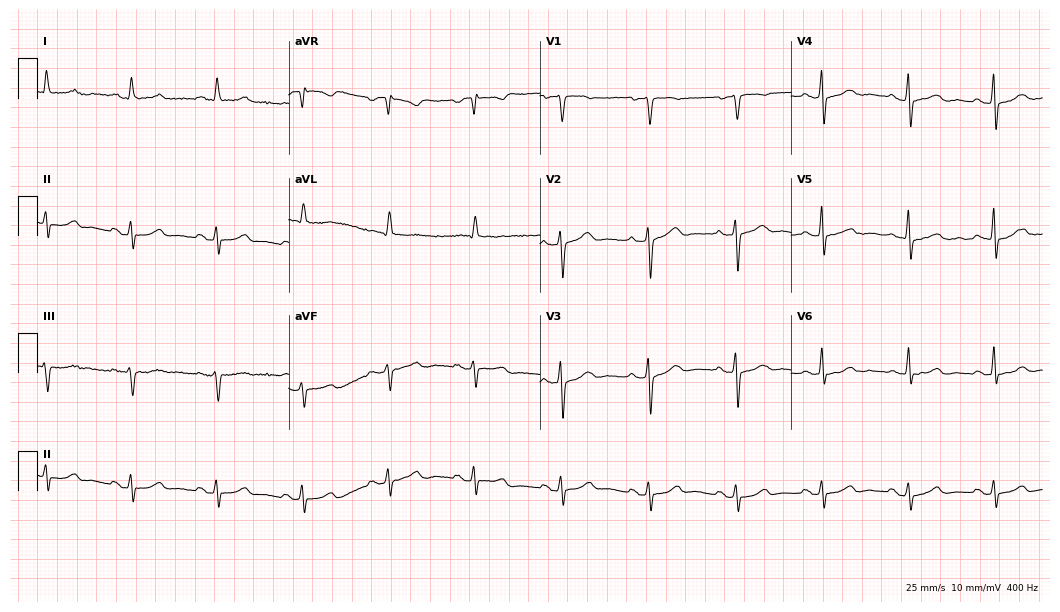
Resting 12-lead electrocardiogram. Patient: a woman, 58 years old. Read as a normal ECG.